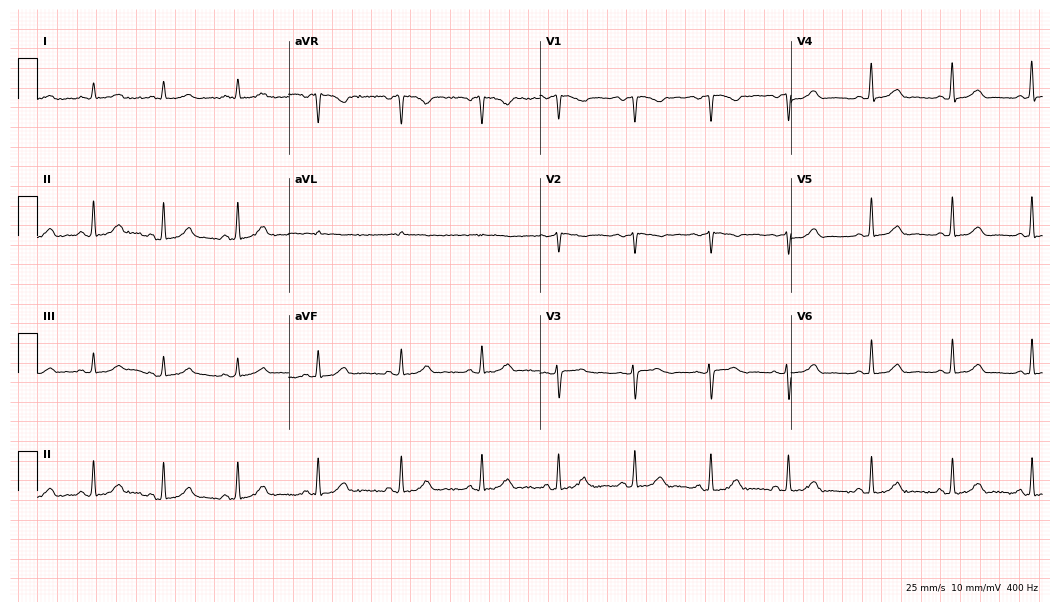
Electrocardiogram (10.2-second recording at 400 Hz), a woman, 40 years old. Overall reading on record: normal ECG.